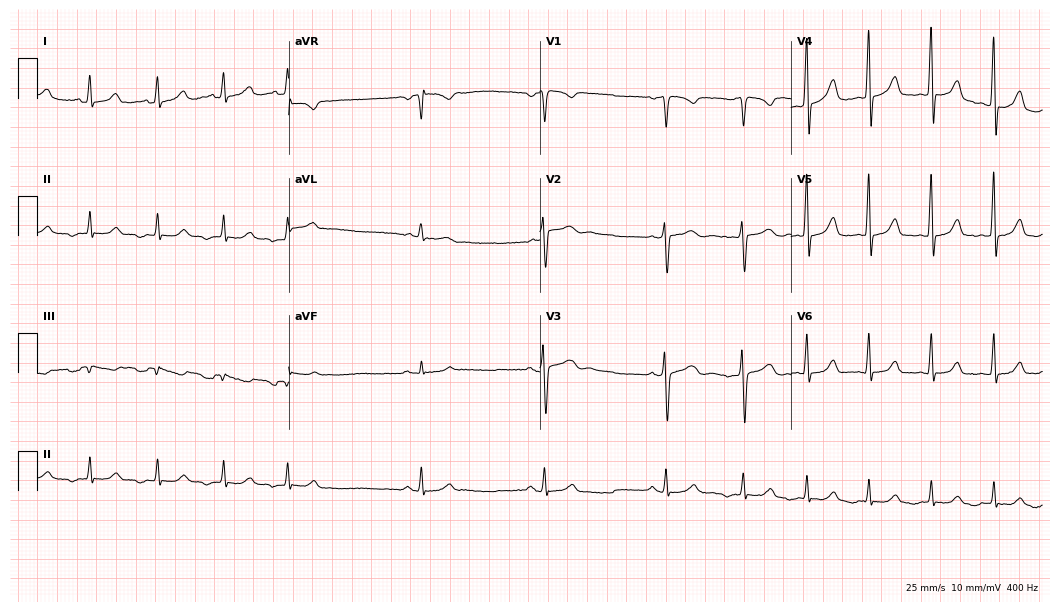
Electrocardiogram, a 44-year-old female patient. Of the six screened findings (first-degree AV block, right bundle branch block, left bundle branch block, sinus bradycardia, atrial fibrillation, sinus tachycardia), none is recorded.